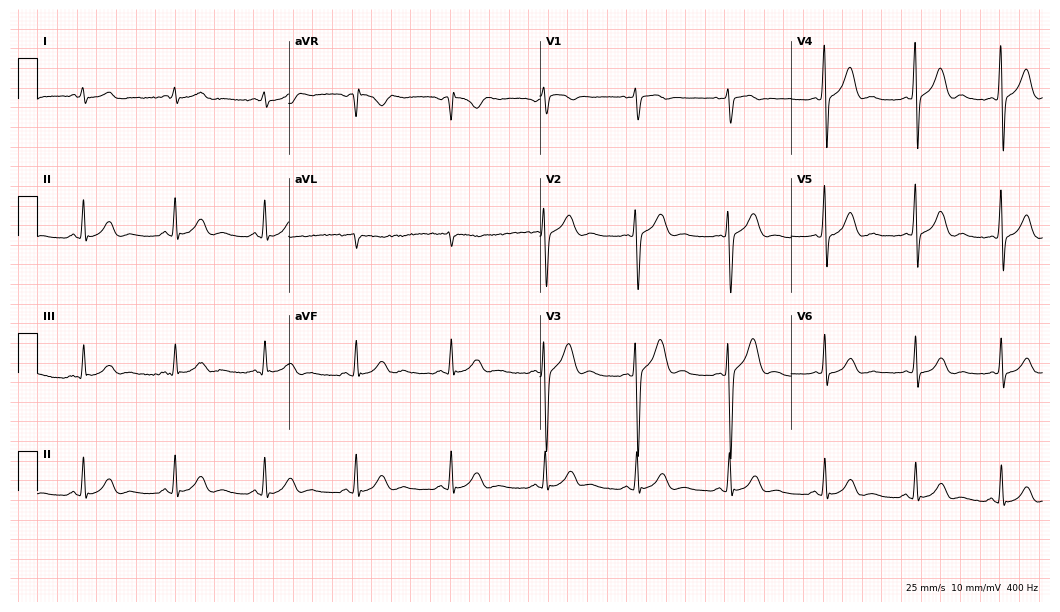
ECG — a 20-year-old male patient. Screened for six findings — first-degree AV block, right bundle branch block, left bundle branch block, sinus bradycardia, atrial fibrillation, sinus tachycardia — none is recorded.